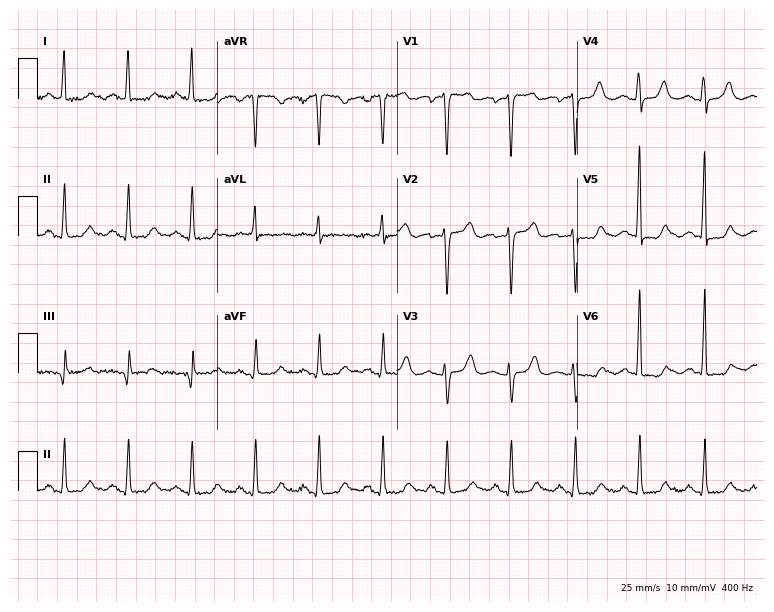
12-lead ECG from a female, 84 years old (7.3-second recording at 400 Hz). No first-degree AV block, right bundle branch block, left bundle branch block, sinus bradycardia, atrial fibrillation or sinus tachycardia recorded for this tracing. Other findings, if any, are not listed.